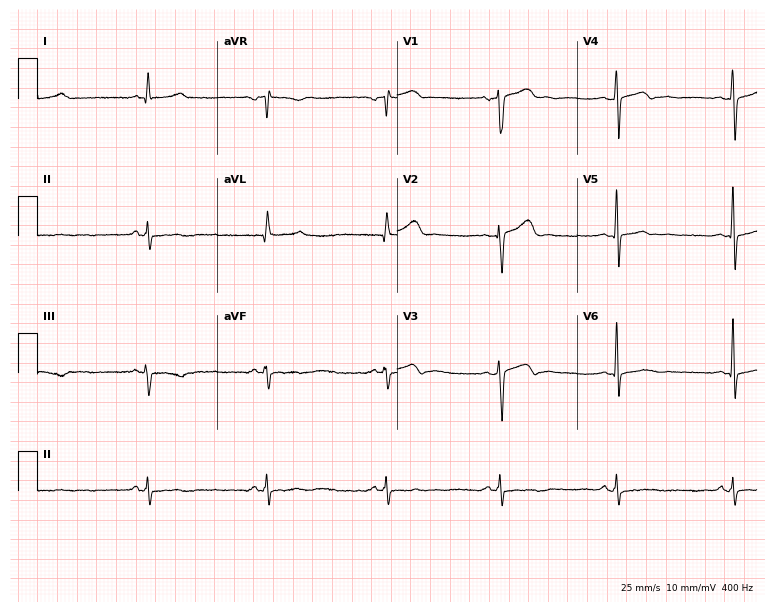
12-lead ECG from a 52-year-old man. Recorded interpretation: within normal limits.